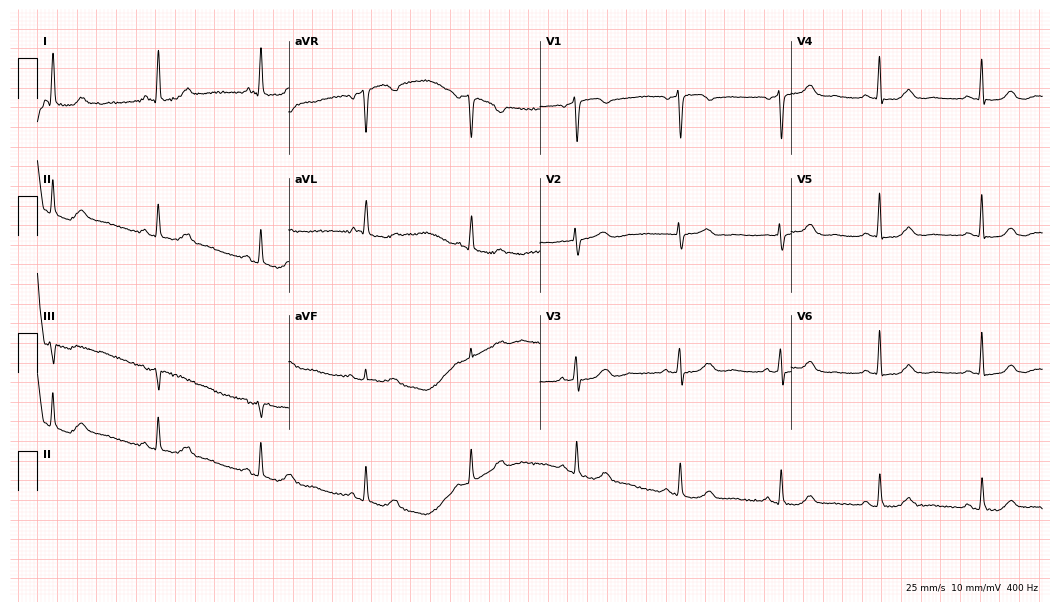
ECG (10.2-second recording at 400 Hz) — a female, 83 years old. Labelled as a normal ECG.